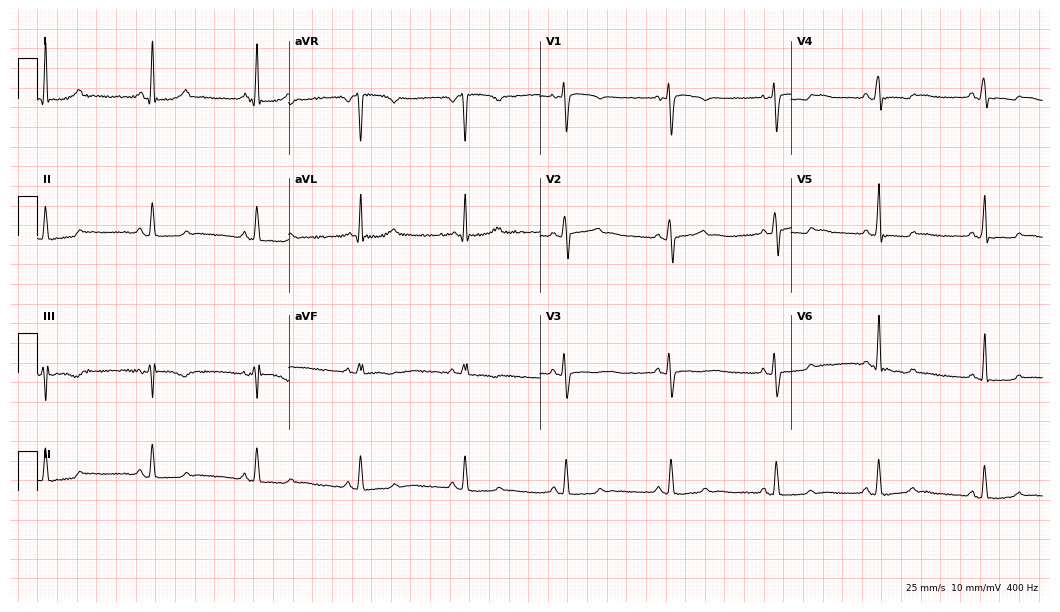
Electrocardiogram (10.2-second recording at 400 Hz), a female patient, 45 years old. Of the six screened findings (first-degree AV block, right bundle branch block, left bundle branch block, sinus bradycardia, atrial fibrillation, sinus tachycardia), none is recorded. Findings outside these six are not listed.